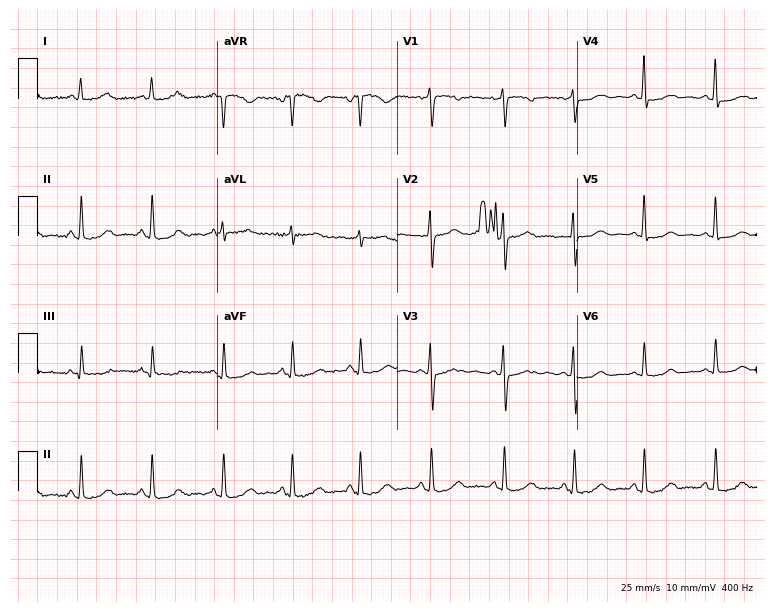
Standard 12-lead ECG recorded from a 42-year-old female patient (7.3-second recording at 400 Hz). None of these six findings is recorded: first-degree AV block, right bundle branch block, left bundle branch block, sinus bradycardia, atrial fibrillation, sinus tachycardia. Findings outside these six are not listed.